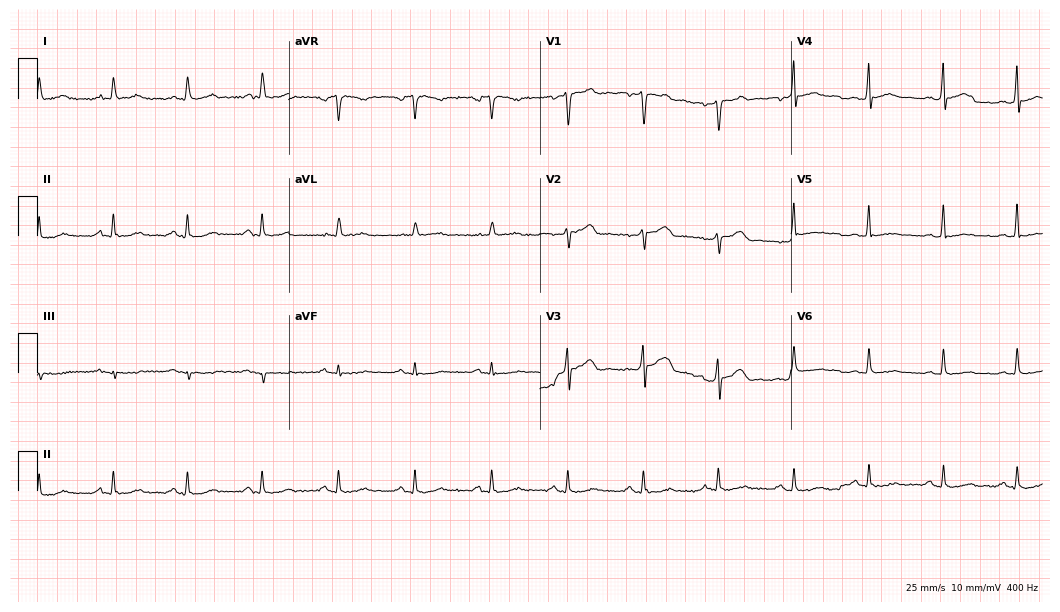
Electrocardiogram (10.2-second recording at 400 Hz), a male, 46 years old. Of the six screened findings (first-degree AV block, right bundle branch block, left bundle branch block, sinus bradycardia, atrial fibrillation, sinus tachycardia), none is recorded.